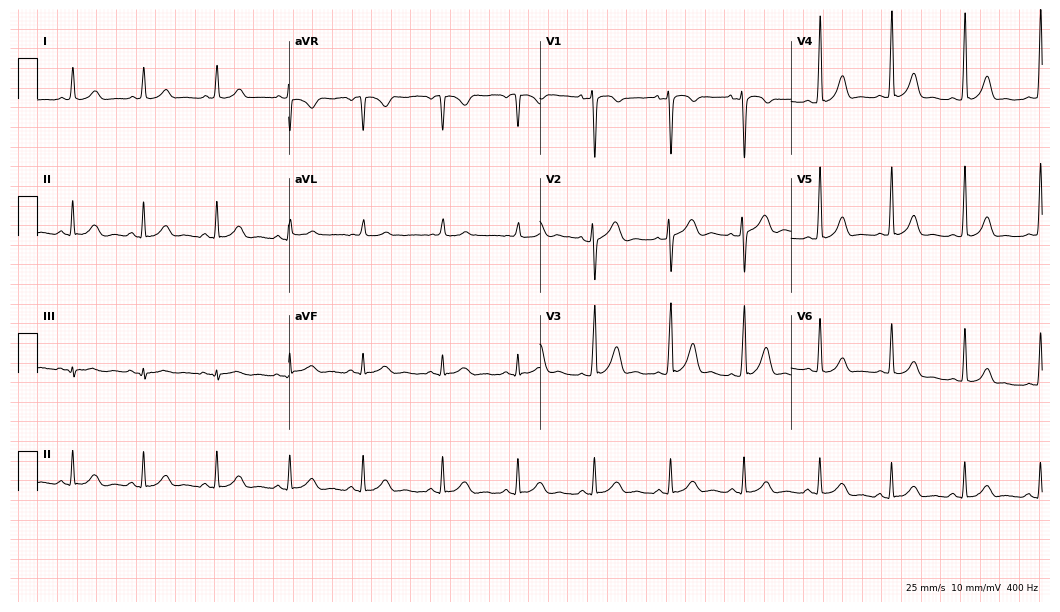
Standard 12-lead ECG recorded from a 28-year-old female. None of these six findings is recorded: first-degree AV block, right bundle branch block (RBBB), left bundle branch block (LBBB), sinus bradycardia, atrial fibrillation (AF), sinus tachycardia.